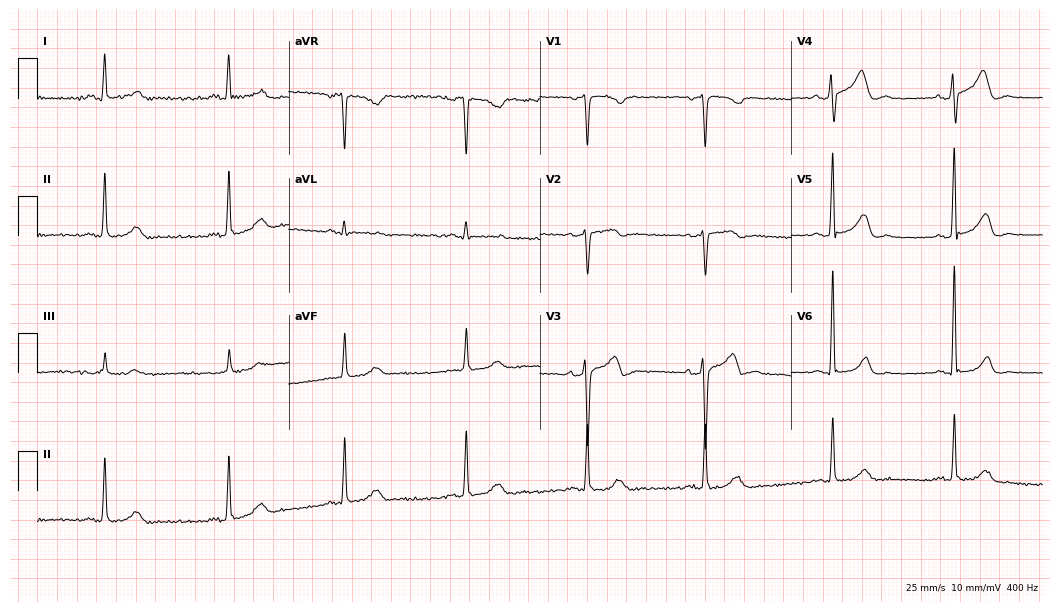
12-lead ECG from a 50-year-old woman (10.2-second recording at 400 Hz). Shows sinus bradycardia (a sinus rate of 50 beats per minute or less).